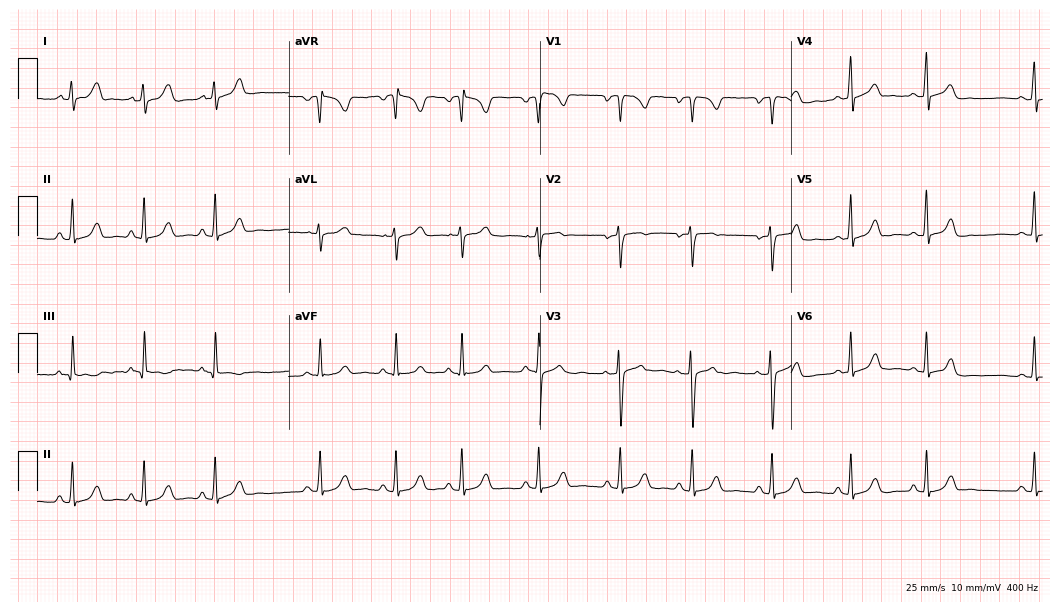
12-lead ECG from a 20-year-old woman. Recorded interpretation: within normal limits.